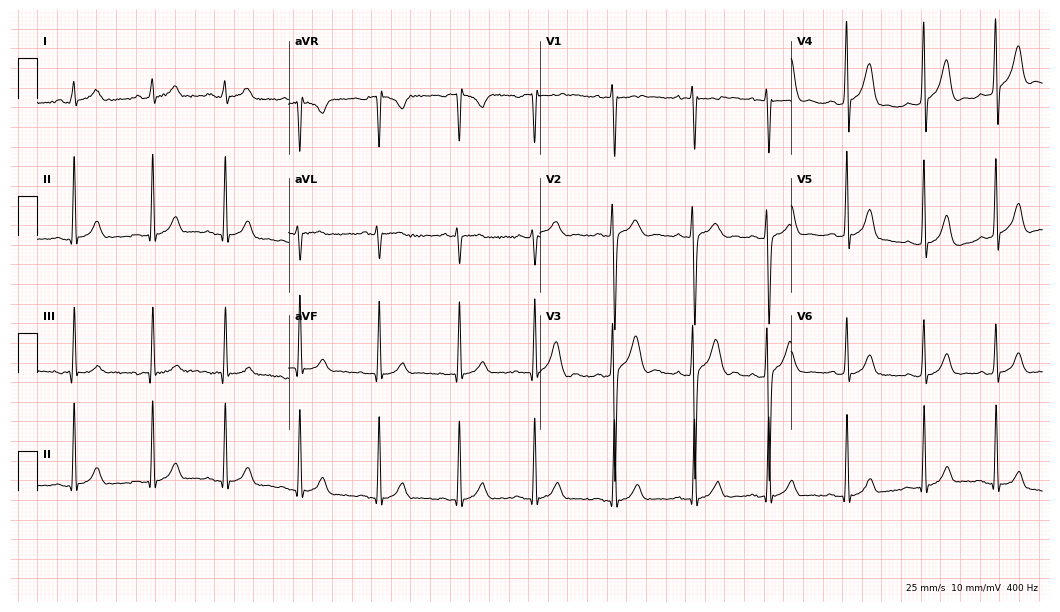
12-lead ECG from a 20-year-old male patient (10.2-second recording at 400 Hz). Recorded interpretation: within normal limits.